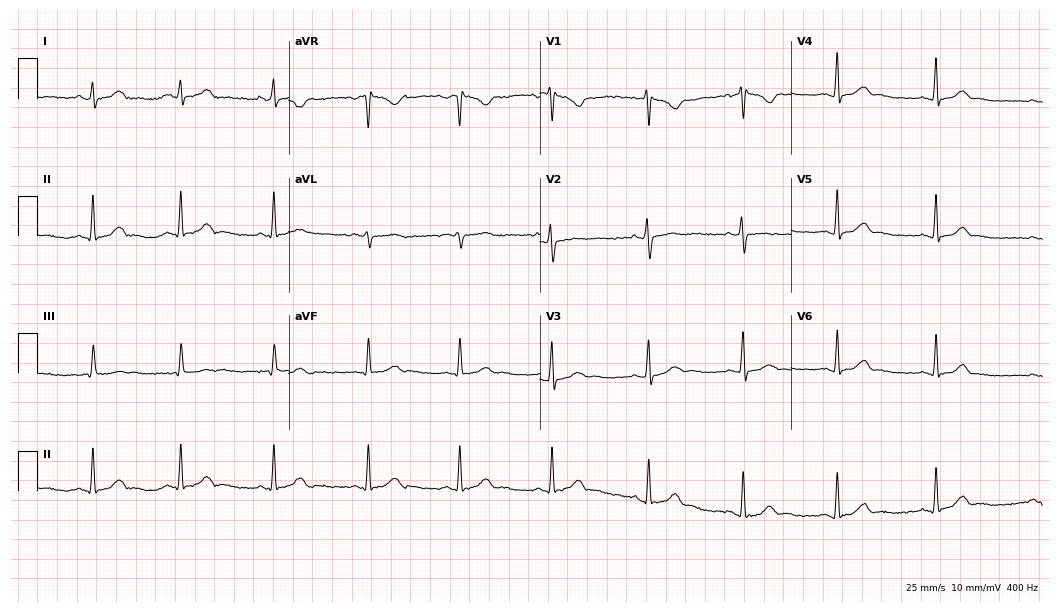
Electrocardiogram (10.2-second recording at 400 Hz), a 27-year-old woman. Overall reading on record: normal ECG.